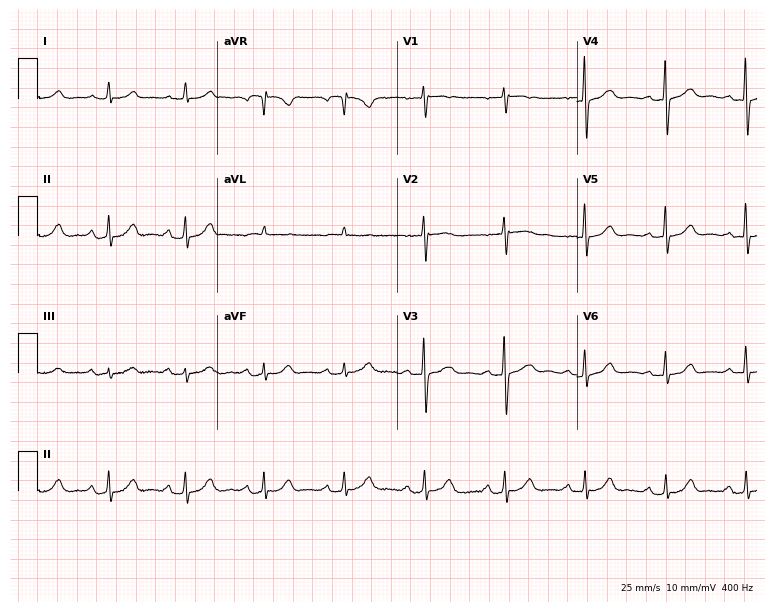
12-lead ECG from a female patient, 76 years old. Labelled as a normal ECG.